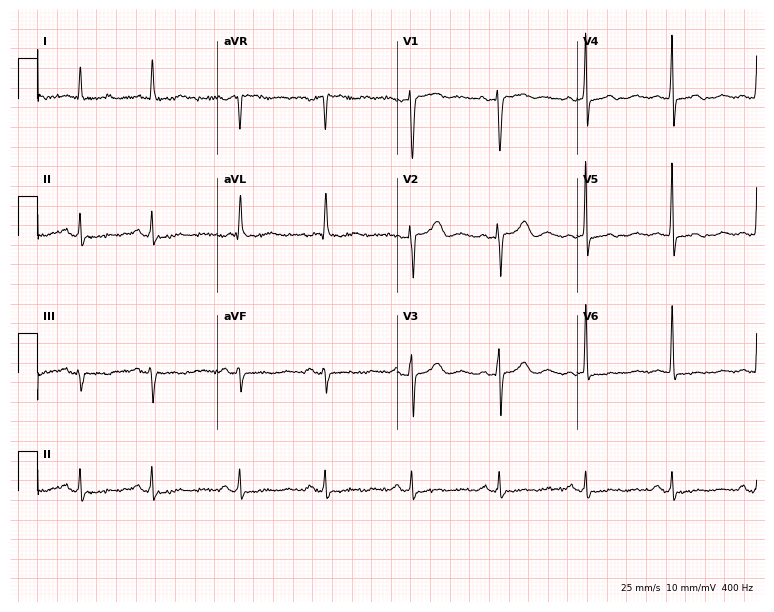
Electrocardiogram, a 49-year-old female. Of the six screened findings (first-degree AV block, right bundle branch block (RBBB), left bundle branch block (LBBB), sinus bradycardia, atrial fibrillation (AF), sinus tachycardia), none is recorded.